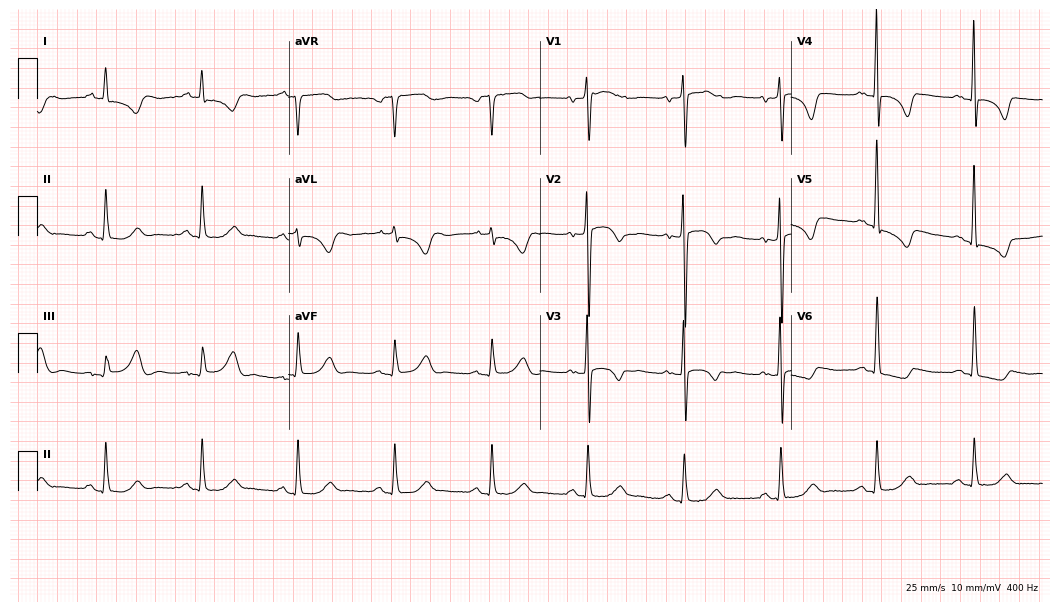
Electrocardiogram (10.2-second recording at 400 Hz), an 85-year-old female patient. Of the six screened findings (first-degree AV block, right bundle branch block, left bundle branch block, sinus bradycardia, atrial fibrillation, sinus tachycardia), none is recorded. Other findings, if any, are not listed.